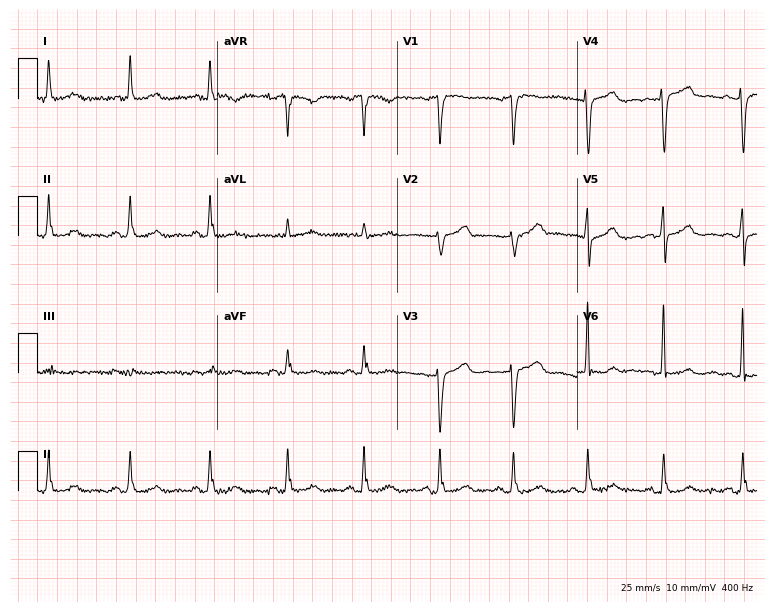
12-lead ECG from a woman, 77 years old (7.3-second recording at 400 Hz). No first-degree AV block, right bundle branch block, left bundle branch block, sinus bradycardia, atrial fibrillation or sinus tachycardia recorded for this tracing.